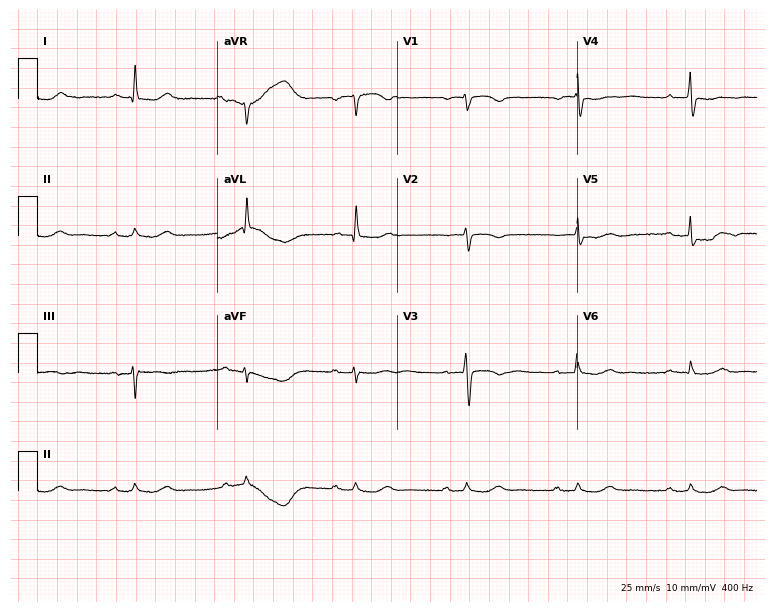
Electrocardiogram (7.3-second recording at 400 Hz), an 81-year-old female. Of the six screened findings (first-degree AV block, right bundle branch block, left bundle branch block, sinus bradycardia, atrial fibrillation, sinus tachycardia), none is recorded. Findings outside these six are not listed.